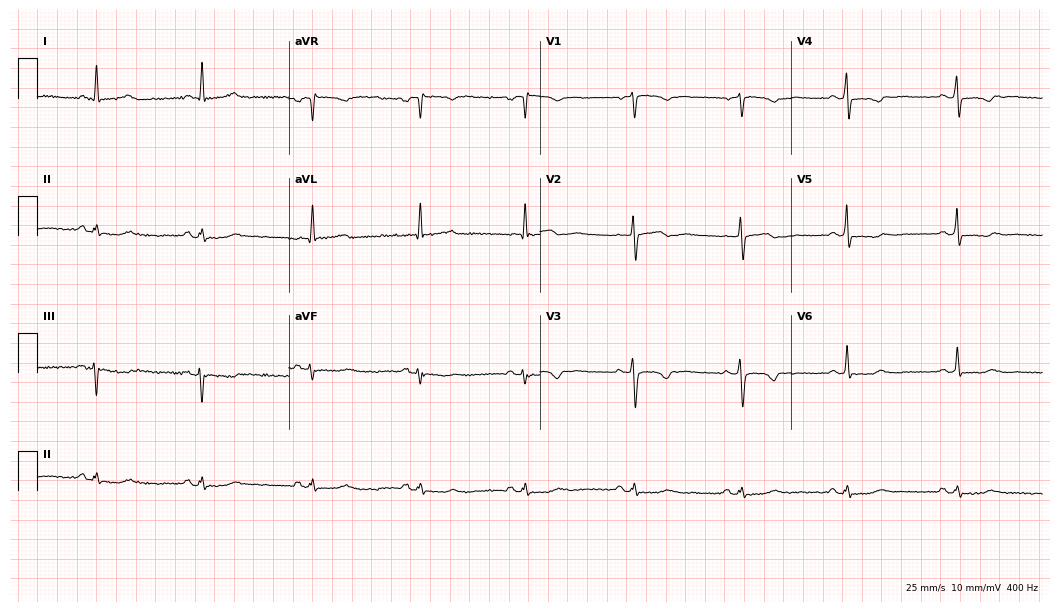
Electrocardiogram (10.2-second recording at 400 Hz), a female patient, 58 years old. Of the six screened findings (first-degree AV block, right bundle branch block, left bundle branch block, sinus bradycardia, atrial fibrillation, sinus tachycardia), none is recorded.